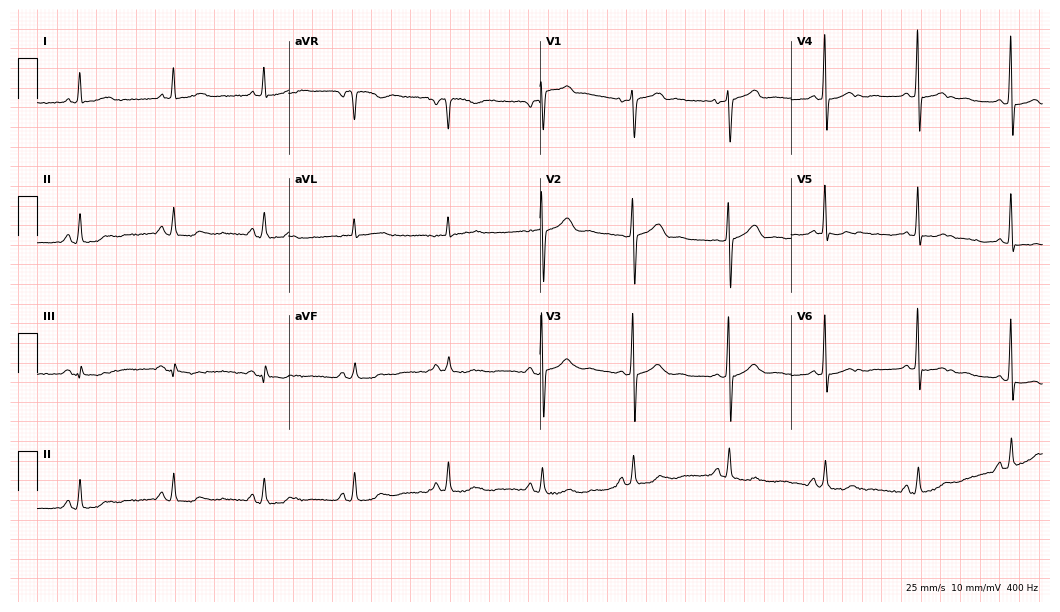
Standard 12-lead ECG recorded from a female, 60 years old (10.2-second recording at 400 Hz). Read as a normal ECG.